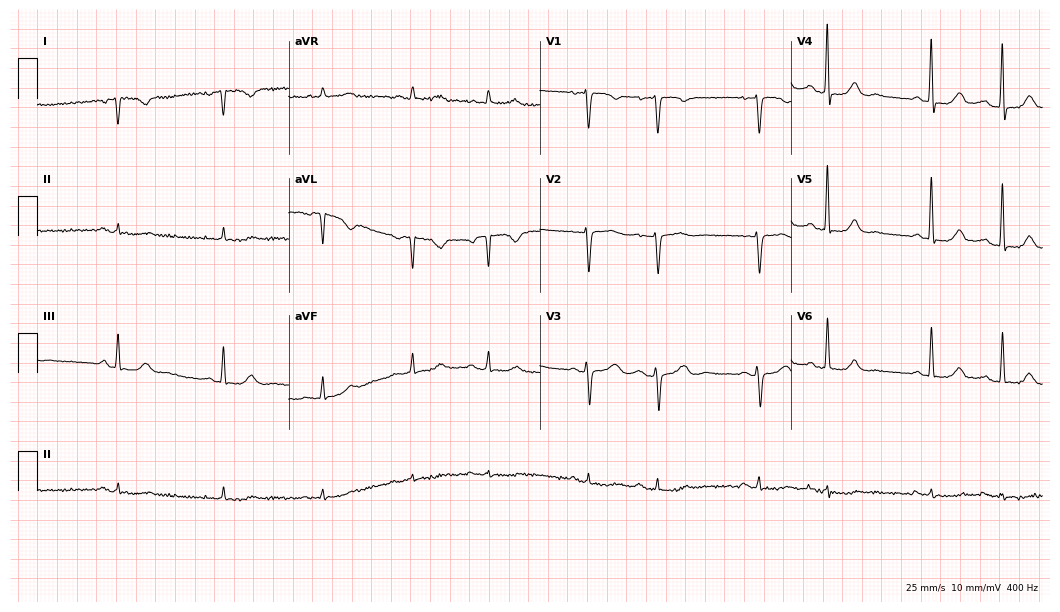
Electrocardiogram, a 77-year-old man. Of the six screened findings (first-degree AV block, right bundle branch block, left bundle branch block, sinus bradycardia, atrial fibrillation, sinus tachycardia), none is recorded.